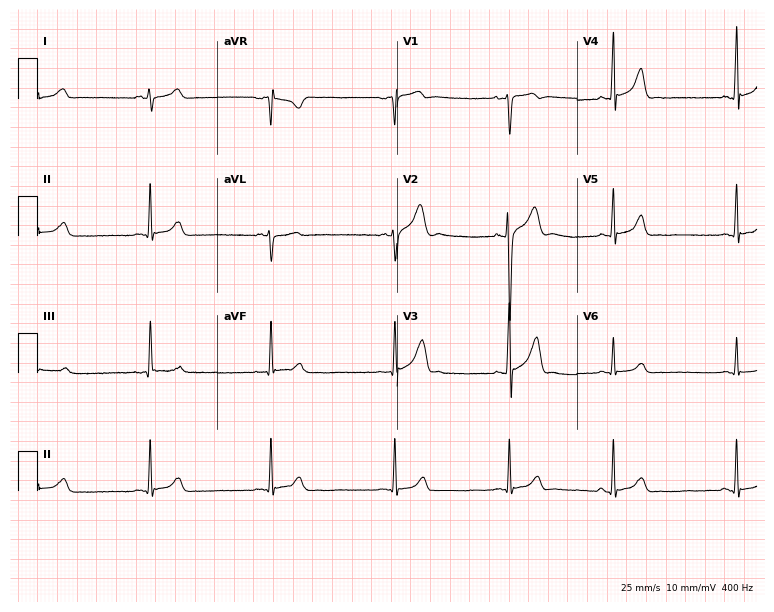
ECG (7.3-second recording at 400 Hz) — an 18-year-old male. Findings include sinus bradycardia (a sinus rate of 50 beats per minute or less).